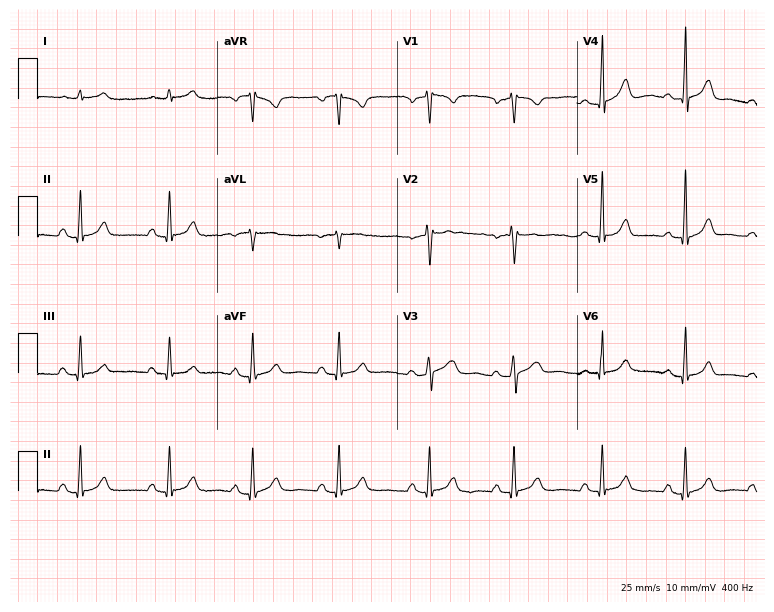
12-lead ECG from a female, 52 years old. Recorded interpretation: within normal limits.